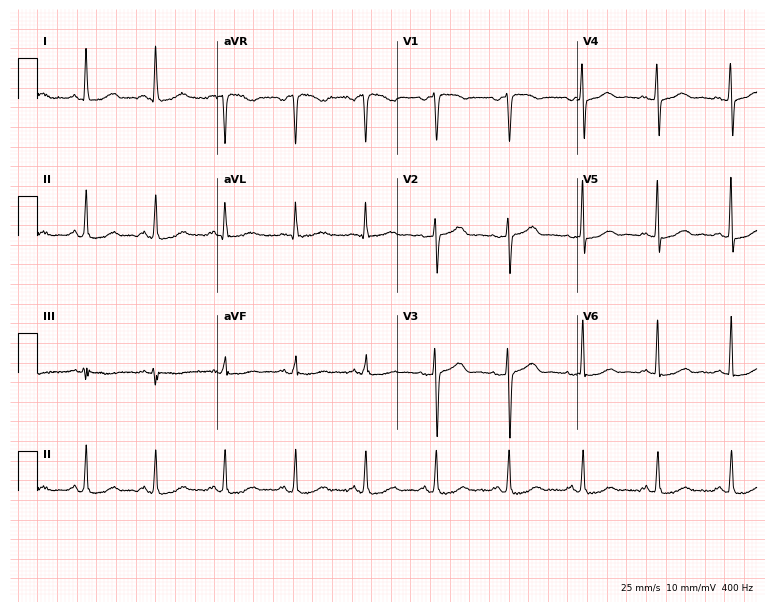
Resting 12-lead electrocardiogram. Patient: a 60-year-old female. None of these six findings is recorded: first-degree AV block, right bundle branch block, left bundle branch block, sinus bradycardia, atrial fibrillation, sinus tachycardia. Other findings, if any, are not listed.